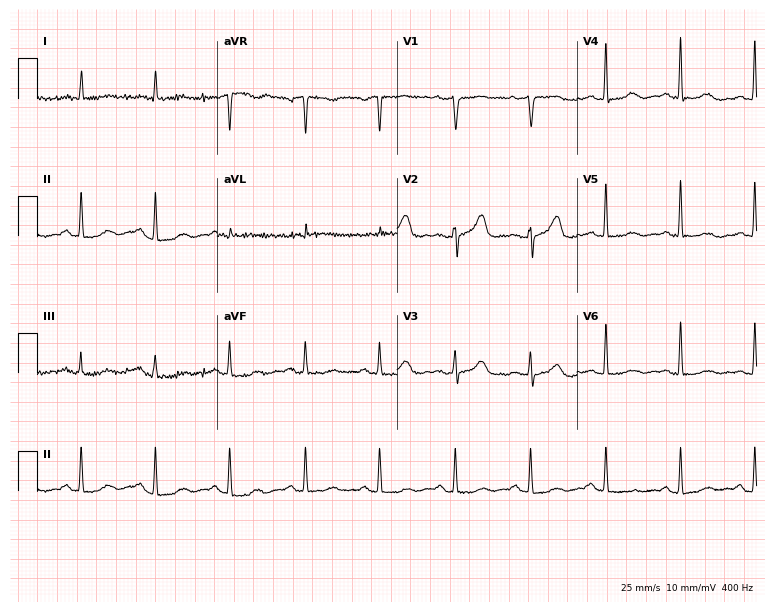
ECG — a 75-year-old woman. Screened for six findings — first-degree AV block, right bundle branch block (RBBB), left bundle branch block (LBBB), sinus bradycardia, atrial fibrillation (AF), sinus tachycardia — none is recorded. Findings outside these six are not listed.